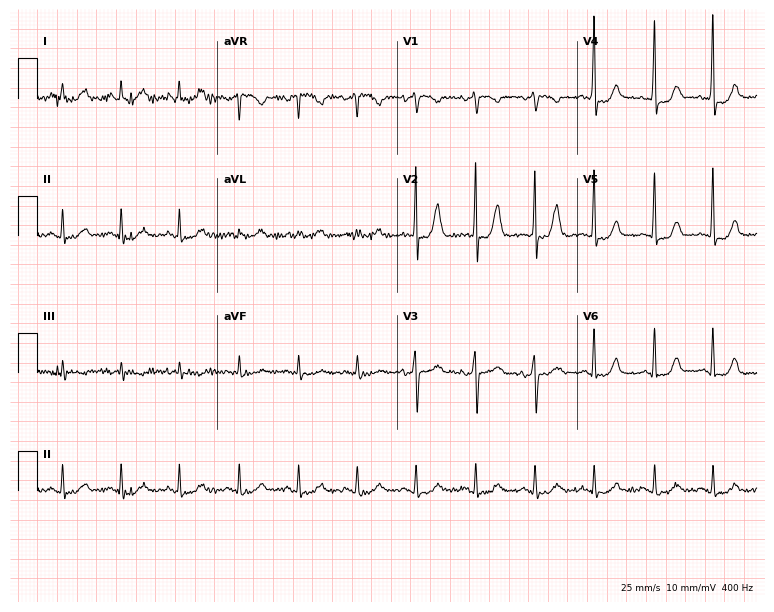
Resting 12-lead electrocardiogram. Patient: a female, 59 years old. Read as a normal ECG.